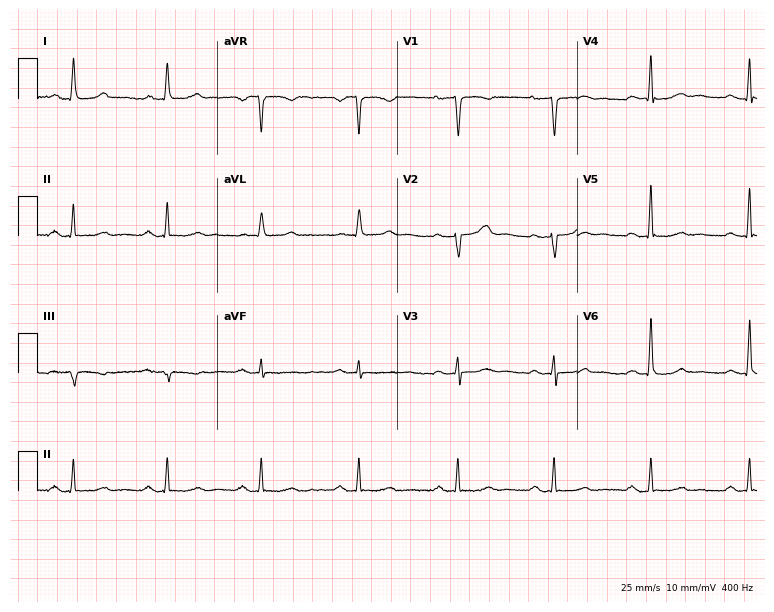
Standard 12-lead ECG recorded from a female, 52 years old (7.3-second recording at 400 Hz). None of these six findings is recorded: first-degree AV block, right bundle branch block, left bundle branch block, sinus bradycardia, atrial fibrillation, sinus tachycardia. Findings outside these six are not listed.